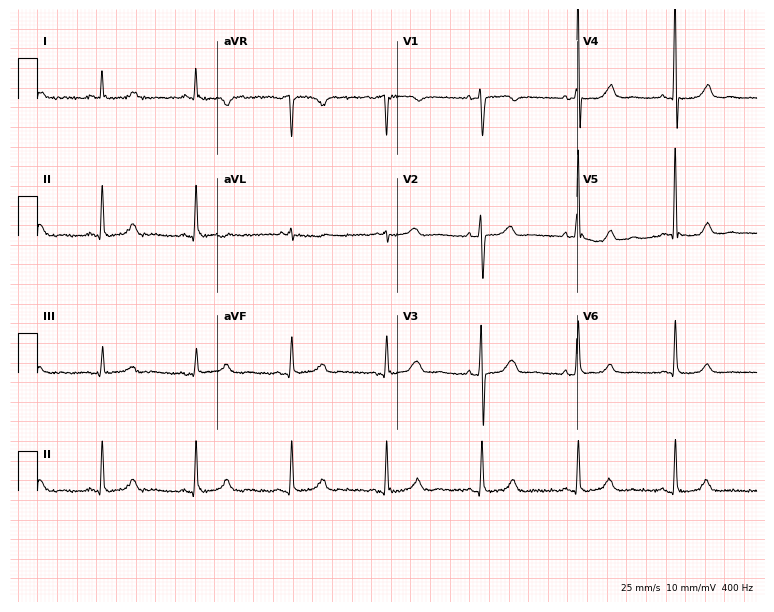
Electrocardiogram (7.3-second recording at 400 Hz), a 57-year-old female patient. Of the six screened findings (first-degree AV block, right bundle branch block, left bundle branch block, sinus bradycardia, atrial fibrillation, sinus tachycardia), none is recorded.